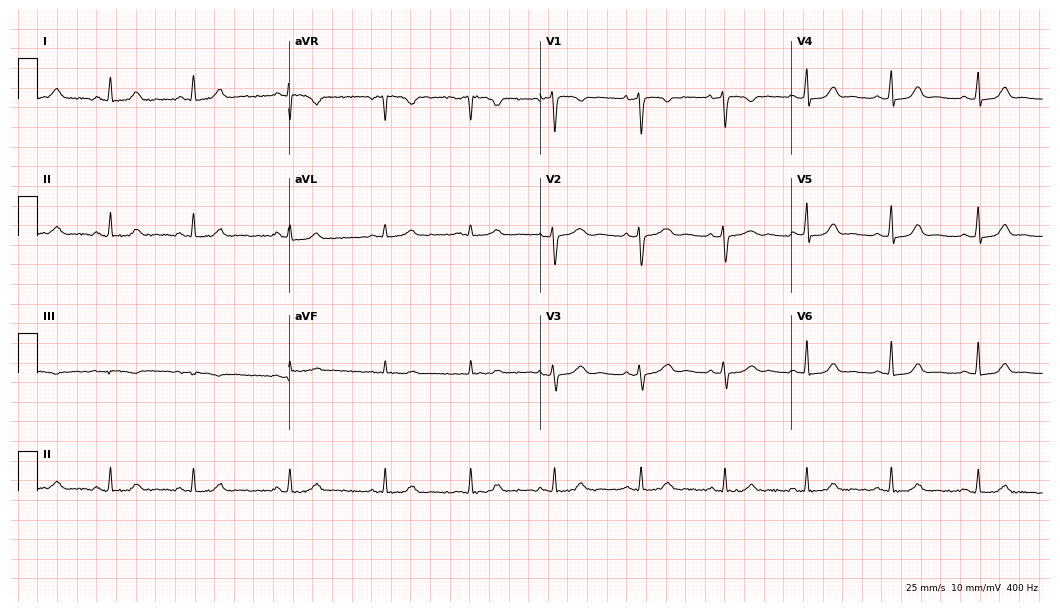
ECG — a female patient, 43 years old. Labelled as a normal ECG.